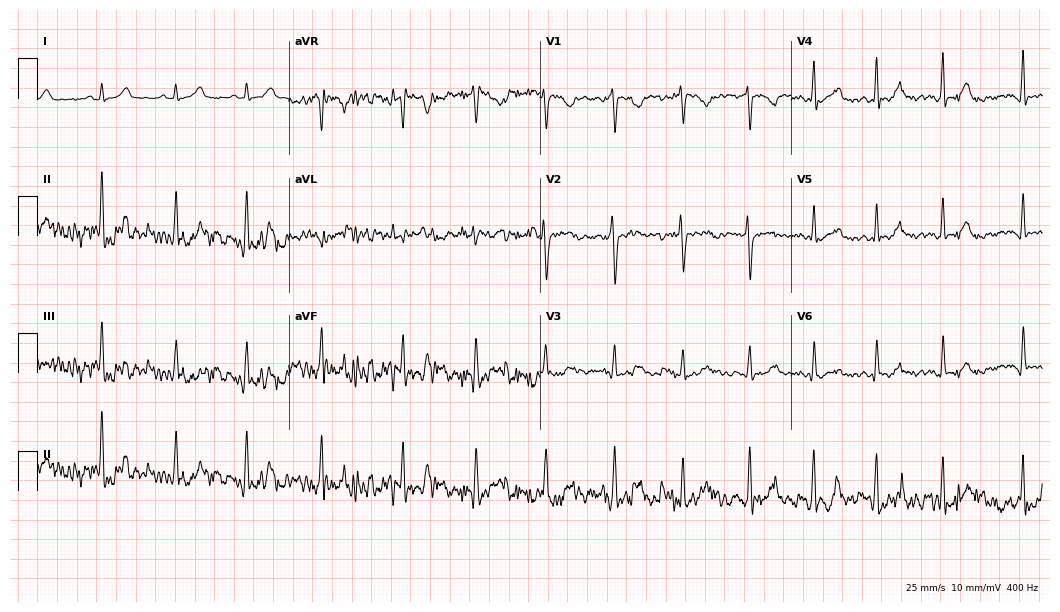
Standard 12-lead ECG recorded from a woman, 24 years old (10.2-second recording at 400 Hz). None of these six findings is recorded: first-degree AV block, right bundle branch block, left bundle branch block, sinus bradycardia, atrial fibrillation, sinus tachycardia. Only these six findings were labelled.